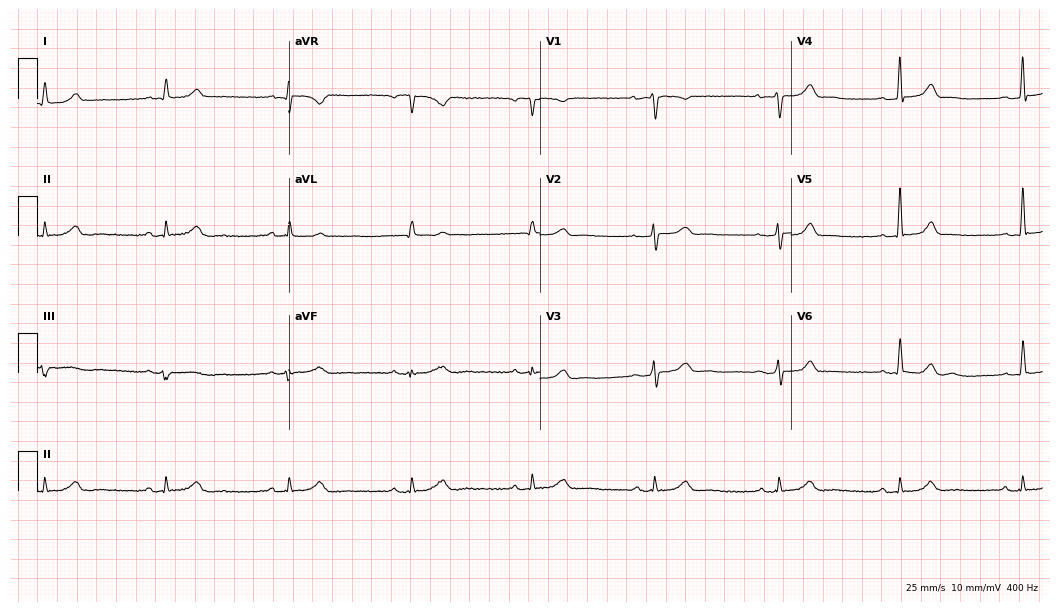
12-lead ECG (10.2-second recording at 400 Hz) from a woman, 54 years old. Findings include sinus bradycardia (a sinus rate of 50 beats per minute or less).